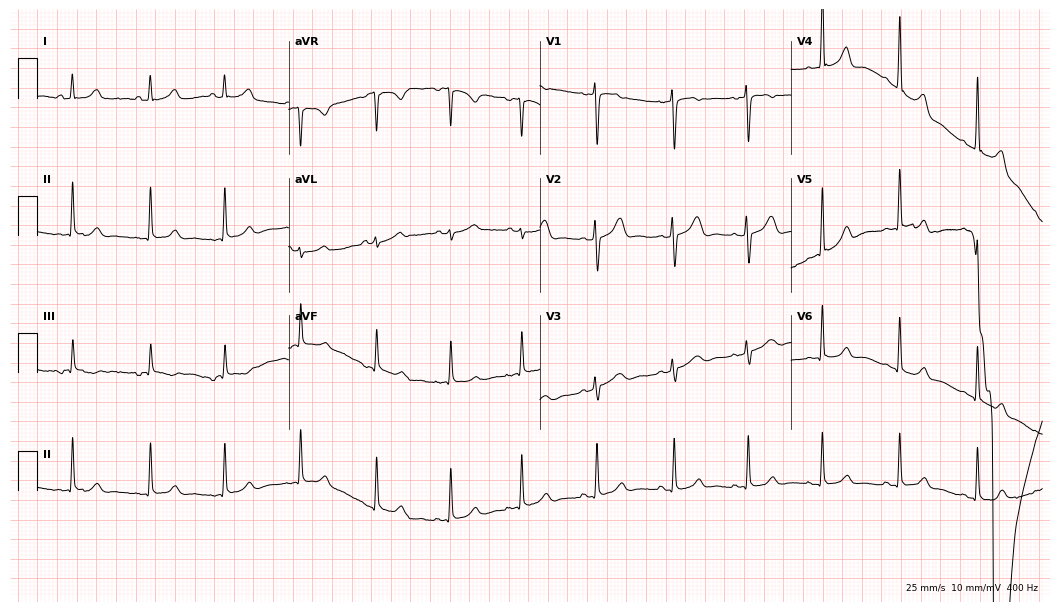
ECG — a woman, 22 years old. Labelled as a normal ECG.